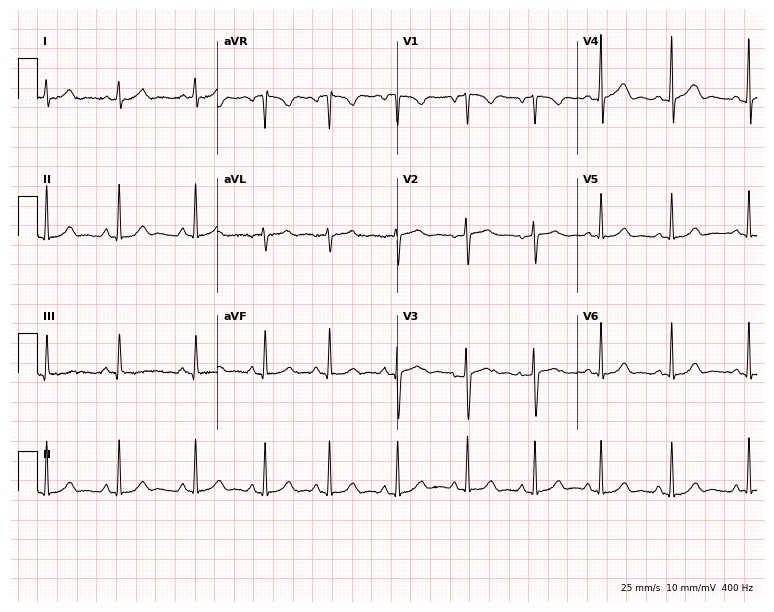
Electrocardiogram, a 32-year-old female. Of the six screened findings (first-degree AV block, right bundle branch block (RBBB), left bundle branch block (LBBB), sinus bradycardia, atrial fibrillation (AF), sinus tachycardia), none is recorded. Findings outside these six are not listed.